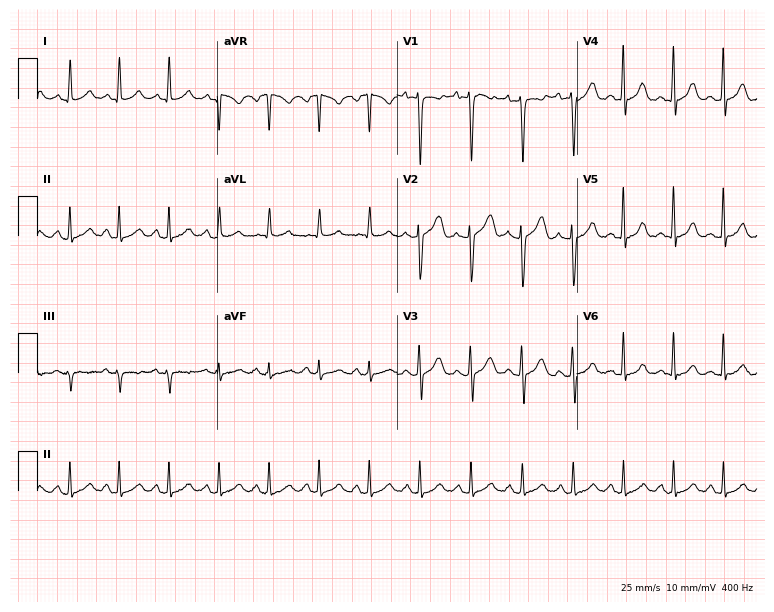
12-lead ECG (7.3-second recording at 400 Hz) from a 45-year-old female. Findings include sinus tachycardia (a sinus rate of 100 beats per minute or more).